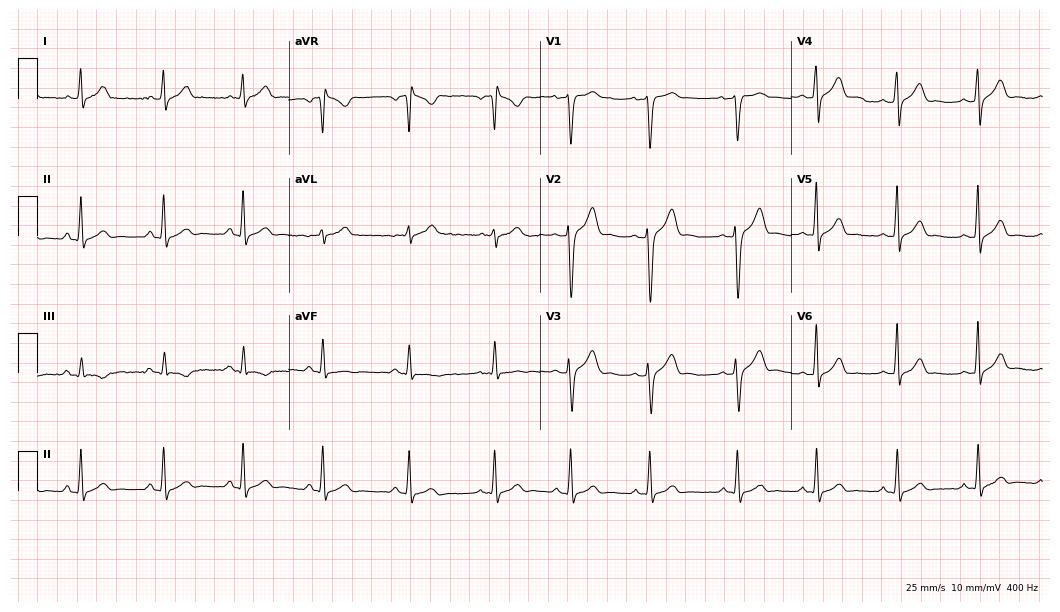
Resting 12-lead electrocardiogram. Patient: a male, 23 years old. Read as a normal ECG.